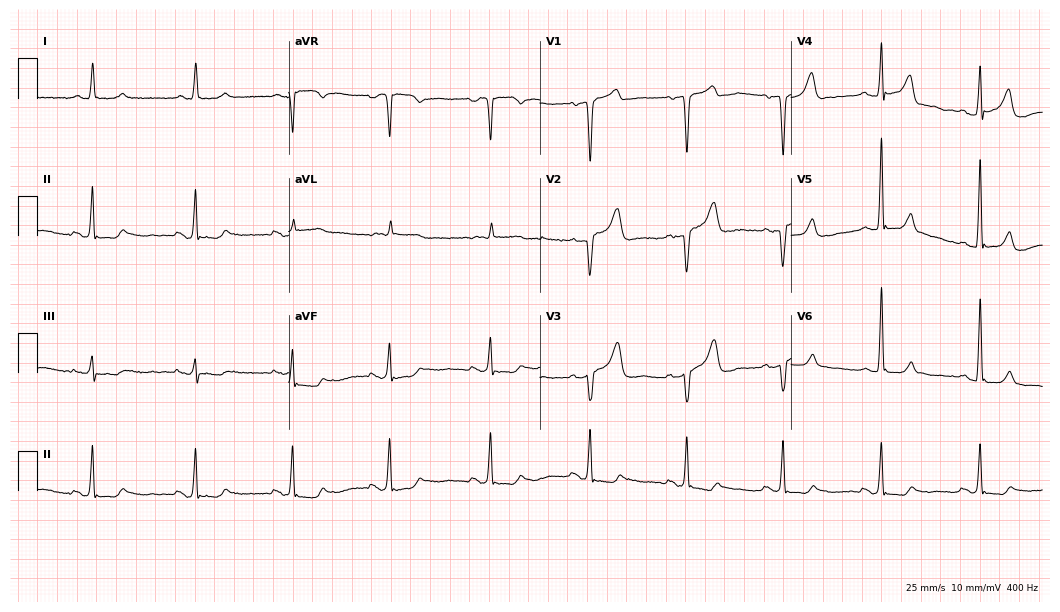
ECG (10.2-second recording at 400 Hz) — a man, 62 years old. Labelled as a normal ECG.